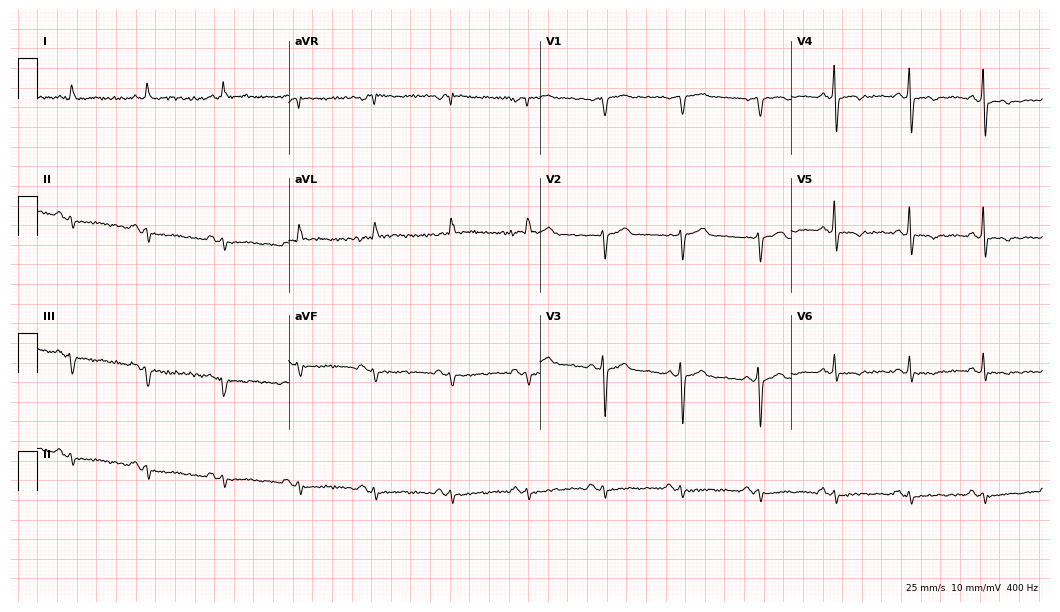
Electrocardiogram (10.2-second recording at 400 Hz), a 72-year-old male. Overall reading on record: normal ECG.